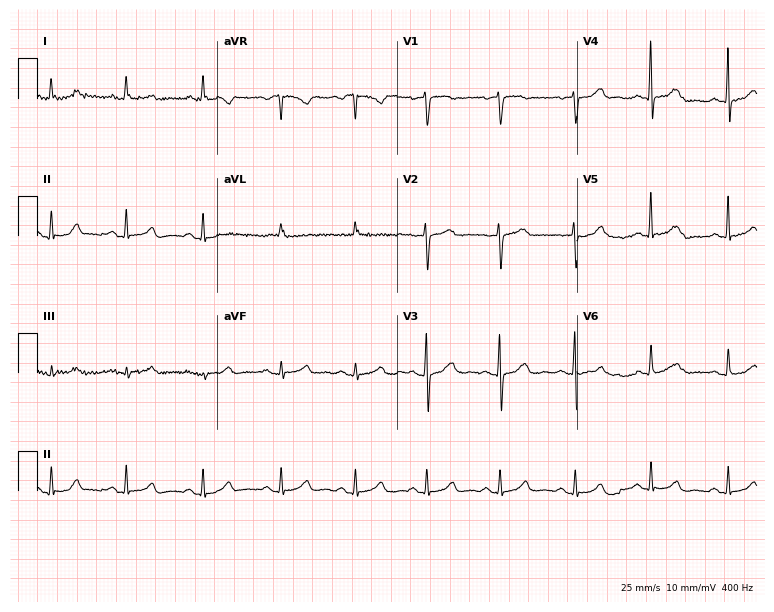
Resting 12-lead electrocardiogram (7.3-second recording at 400 Hz). Patient: a female, 59 years old. Read as a normal ECG.